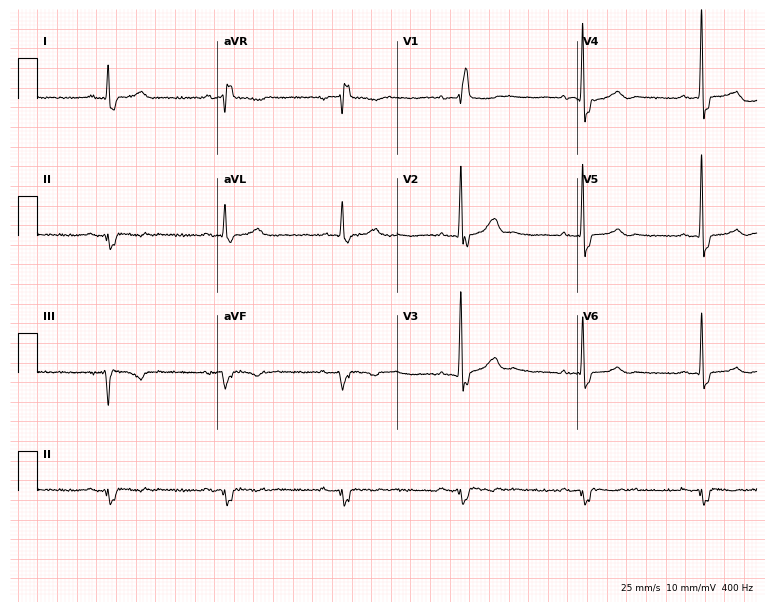
Electrocardiogram (7.3-second recording at 400 Hz), a male patient, 75 years old. Of the six screened findings (first-degree AV block, right bundle branch block (RBBB), left bundle branch block (LBBB), sinus bradycardia, atrial fibrillation (AF), sinus tachycardia), none is recorded.